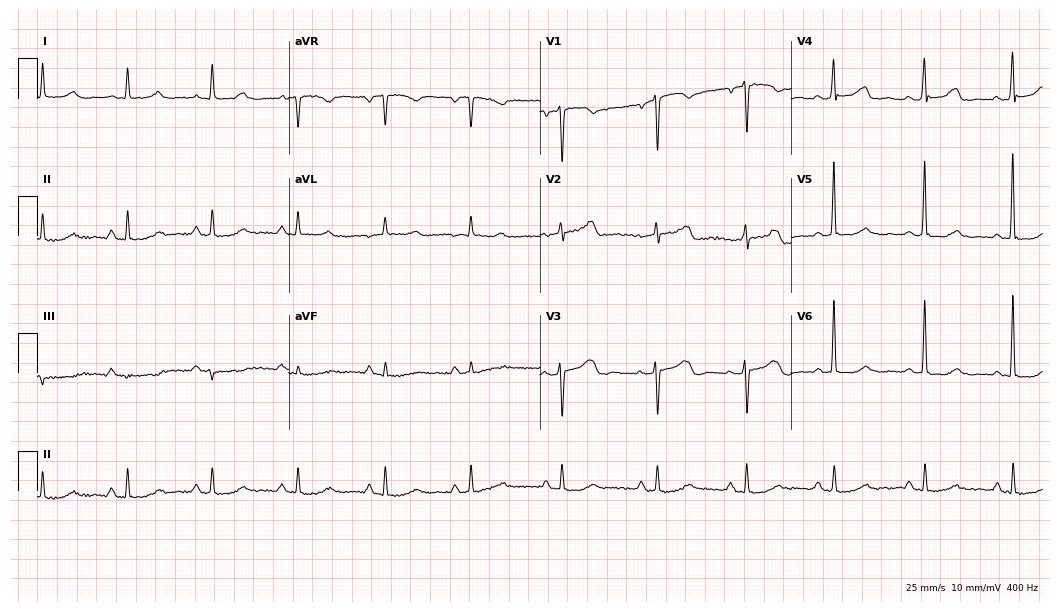
ECG (10.2-second recording at 400 Hz) — a female, 50 years old. Labelled as a normal ECG.